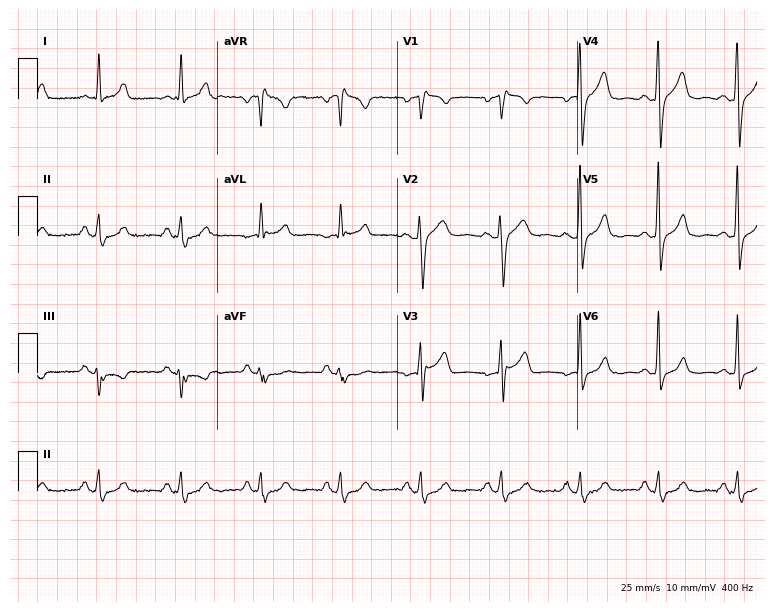
Standard 12-lead ECG recorded from a 62-year-old male (7.3-second recording at 400 Hz). None of these six findings is recorded: first-degree AV block, right bundle branch block (RBBB), left bundle branch block (LBBB), sinus bradycardia, atrial fibrillation (AF), sinus tachycardia.